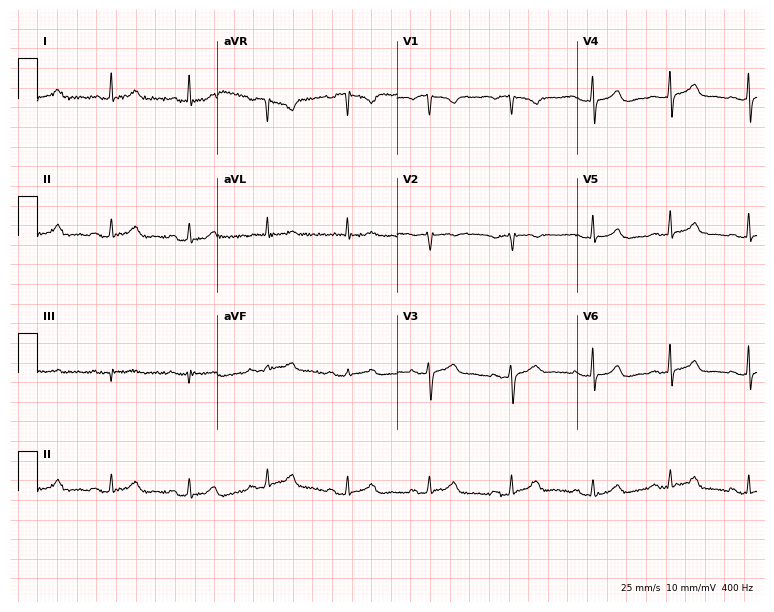
Electrocardiogram, a female patient, 56 years old. Overall reading on record: normal ECG.